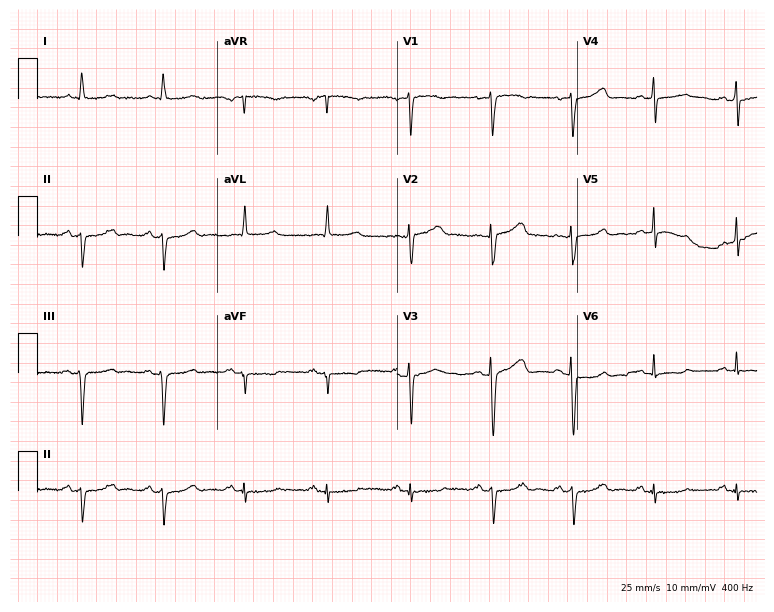
ECG (7.3-second recording at 400 Hz) — a 64-year-old female patient. Screened for six findings — first-degree AV block, right bundle branch block (RBBB), left bundle branch block (LBBB), sinus bradycardia, atrial fibrillation (AF), sinus tachycardia — none is recorded. Other findings, if any, are not listed.